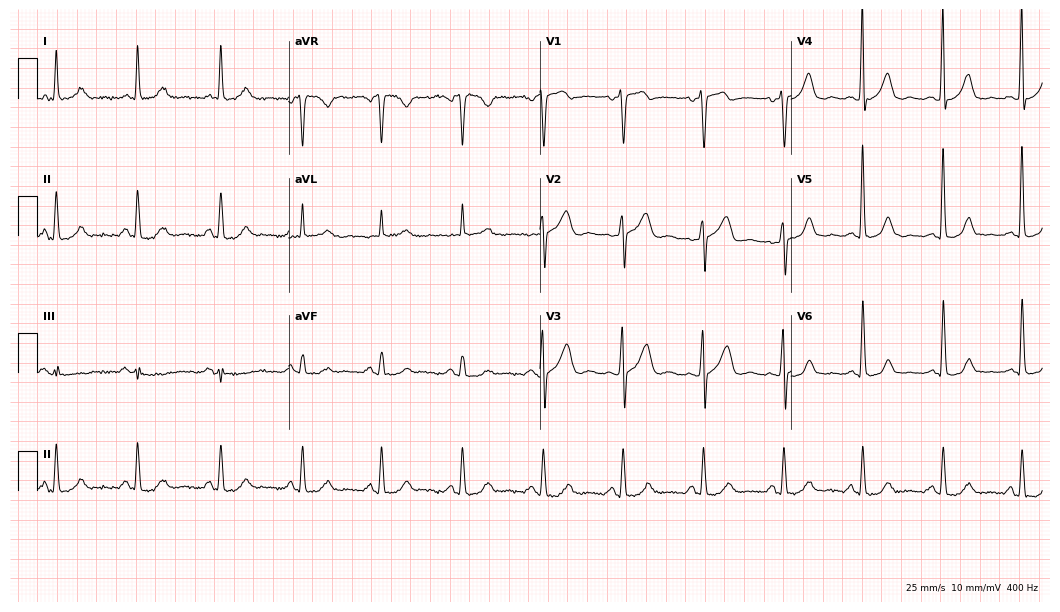
12-lead ECG from a 43-year-old female (10.2-second recording at 400 Hz). No first-degree AV block, right bundle branch block, left bundle branch block, sinus bradycardia, atrial fibrillation or sinus tachycardia recorded for this tracing.